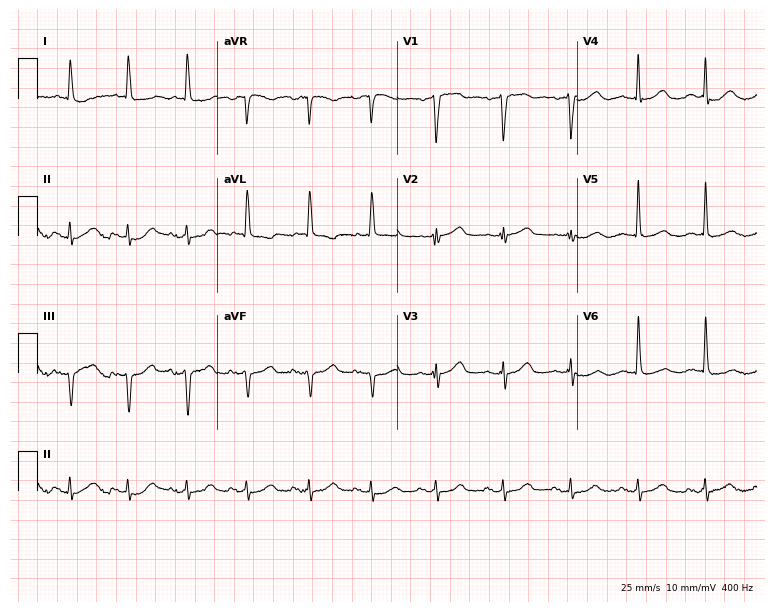
Standard 12-lead ECG recorded from a woman, 80 years old. None of these six findings is recorded: first-degree AV block, right bundle branch block, left bundle branch block, sinus bradycardia, atrial fibrillation, sinus tachycardia. Only these six findings were labelled.